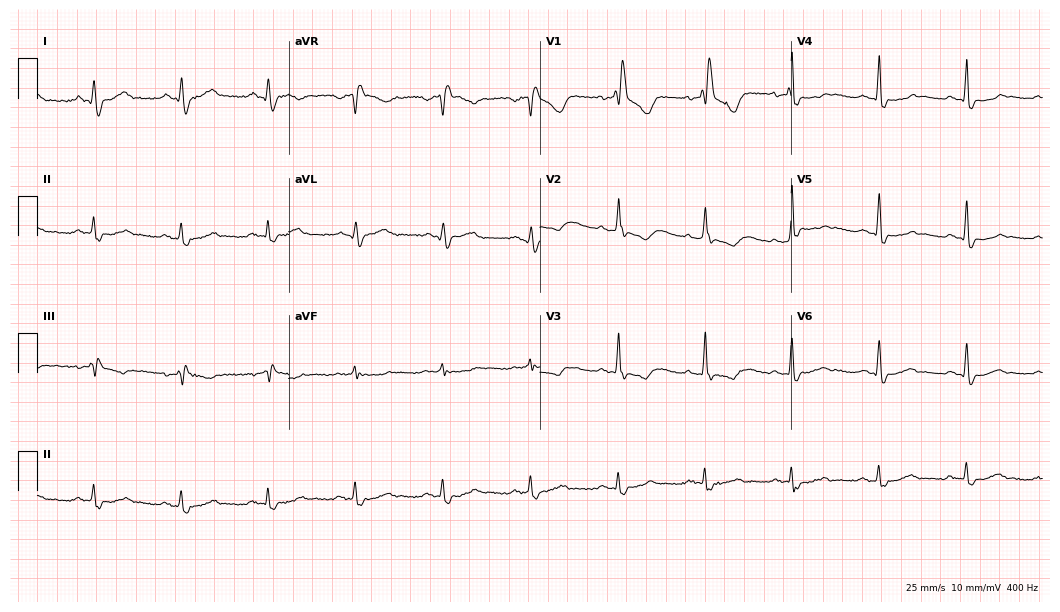
ECG (10.2-second recording at 400 Hz) — a 63-year-old male patient. Findings include right bundle branch block.